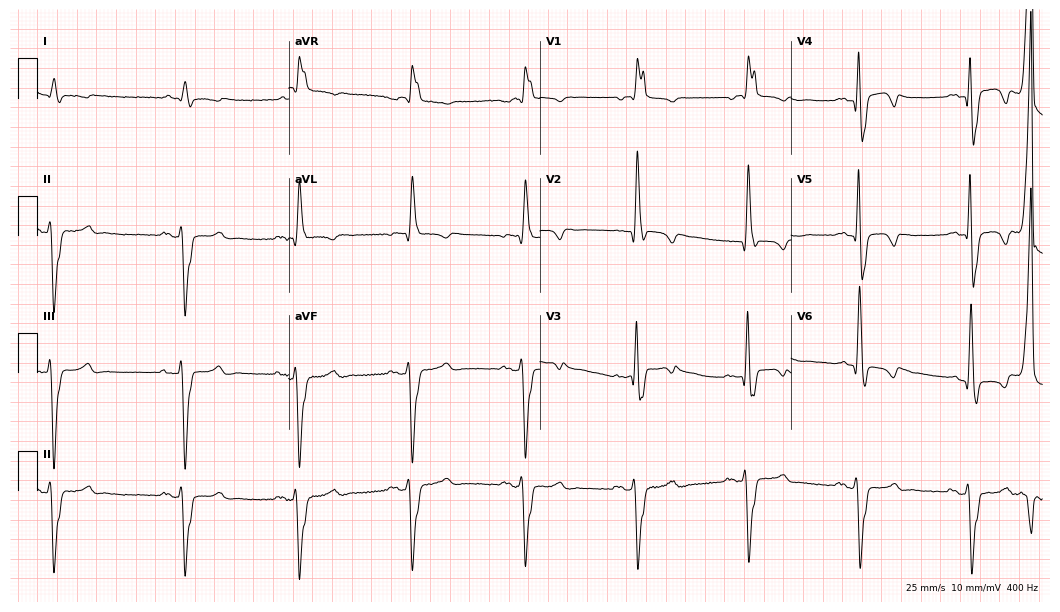
ECG (10.2-second recording at 400 Hz) — an 81-year-old male. Screened for six findings — first-degree AV block, right bundle branch block (RBBB), left bundle branch block (LBBB), sinus bradycardia, atrial fibrillation (AF), sinus tachycardia — none is recorded.